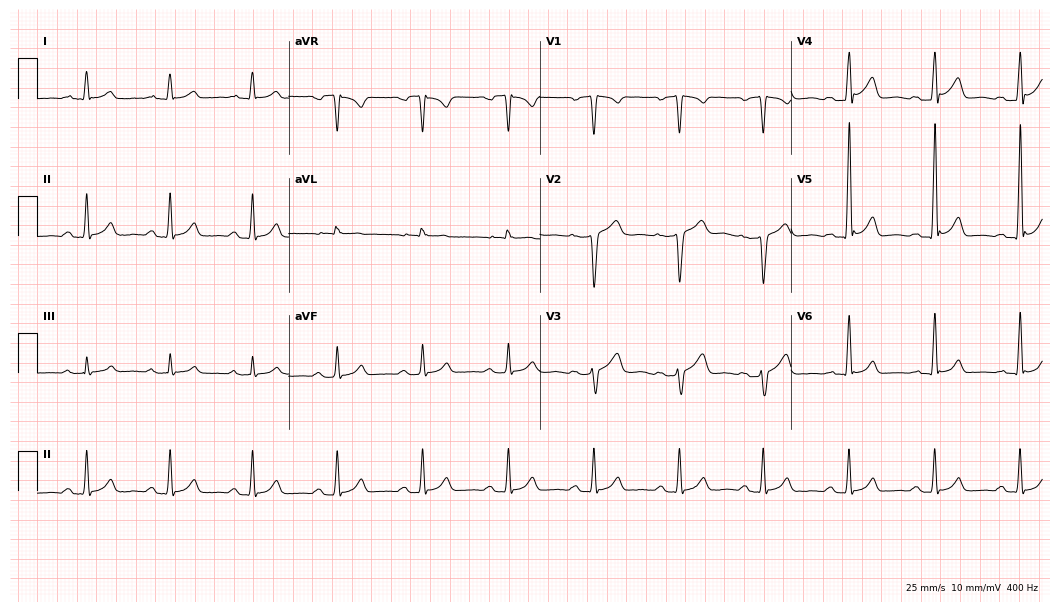
12-lead ECG from a 62-year-old man (10.2-second recording at 400 Hz). Shows first-degree AV block.